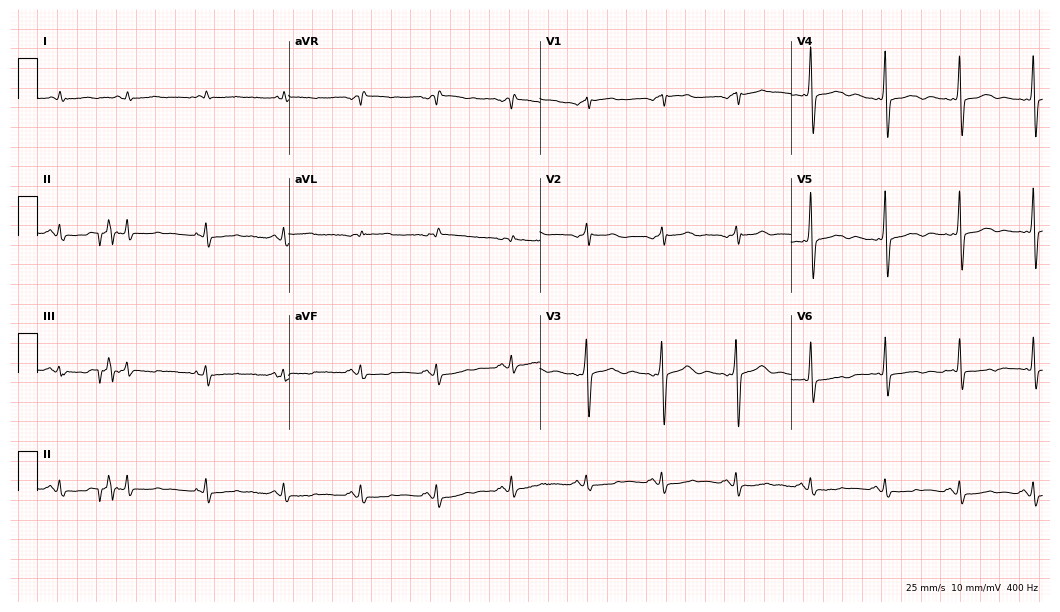
Standard 12-lead ECG recorded from a 78-year-old man. None of these six findings is recorded: first-degree AV block, right bundle branch block, left bundle branch block, sinus bradycardia, atrial fibrillation, sinus tachycardia. Only these six findings were labelled.